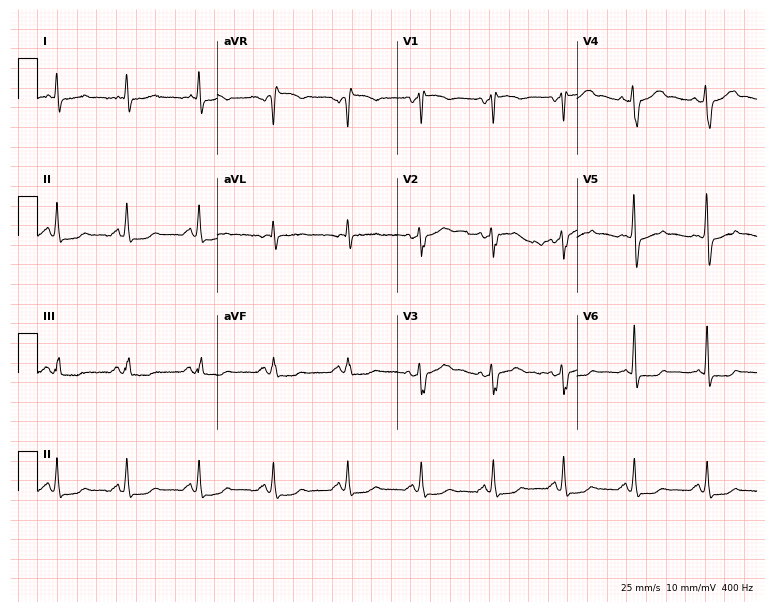
12-lead ECG from a 60-year-old male patient (7.3-second recording at 400 Hz). No first-degree AV block, right bundle branch block (RBBB), left bundle branch block (LBBB), sinus bradycardia, atrial fibrillation (AF) or sinus tachycardia recorded for this tracing. Only these six findings were labelled.